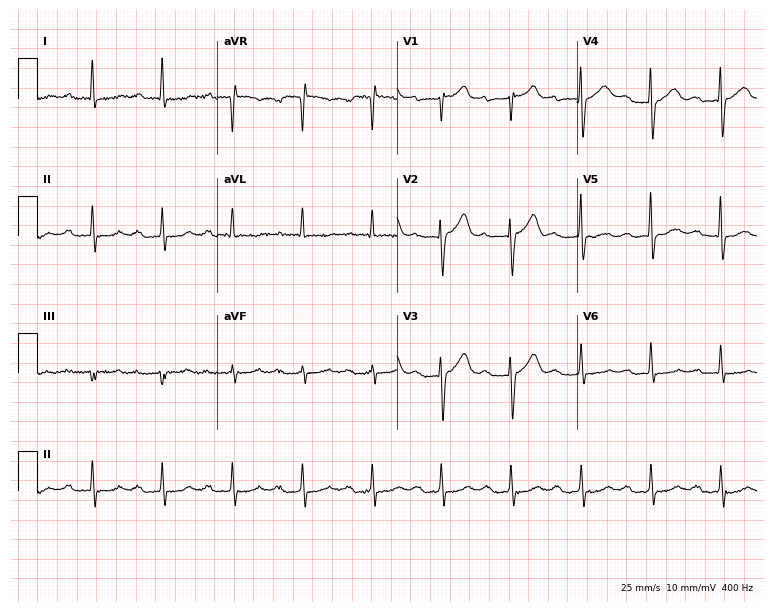
12-lead ECG from a man, 79 years old. Shows first-degree AV block.